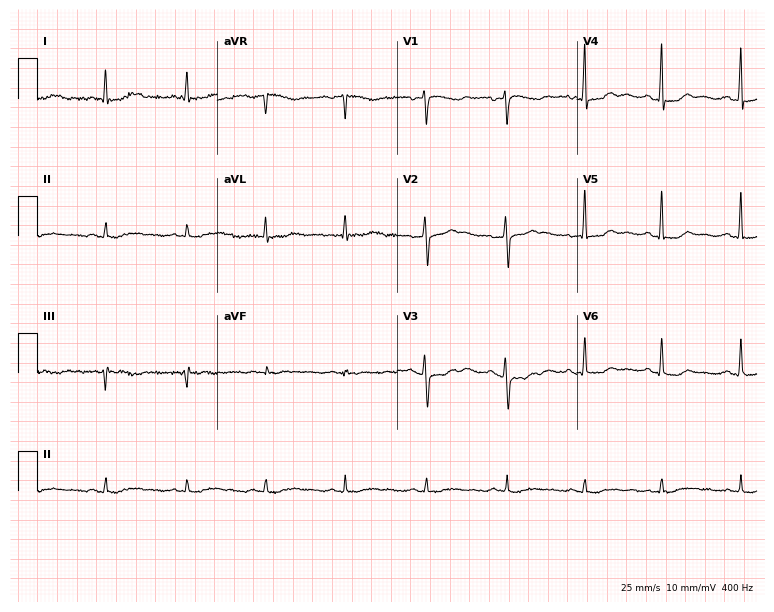
12-lead ECG from a 65-year-old female patient. Recorded interpretation: within normal limits.